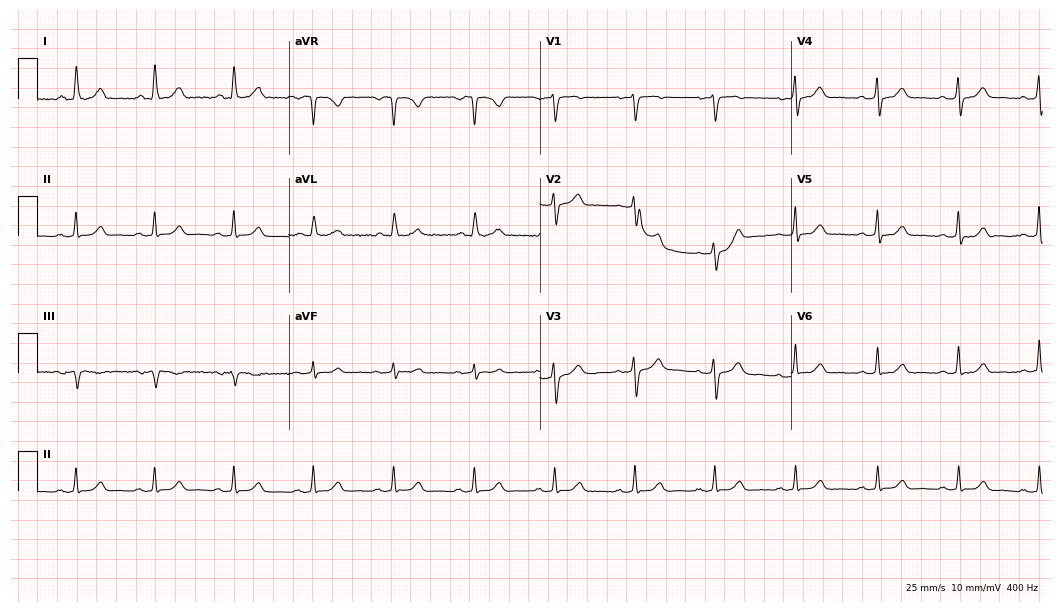
ECG — a 61-year-old woman. Labelled as a normal ECG.